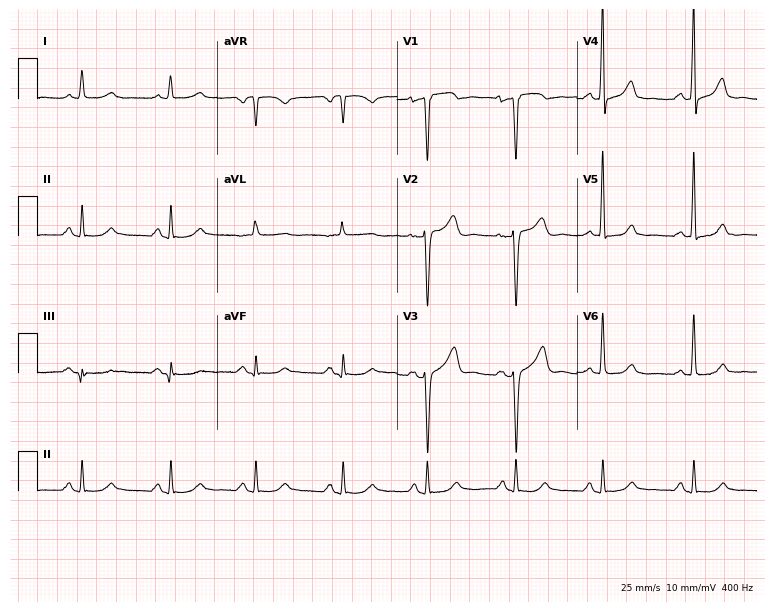
ECG — a 49-year-old female. Labelled as a normal ECG.